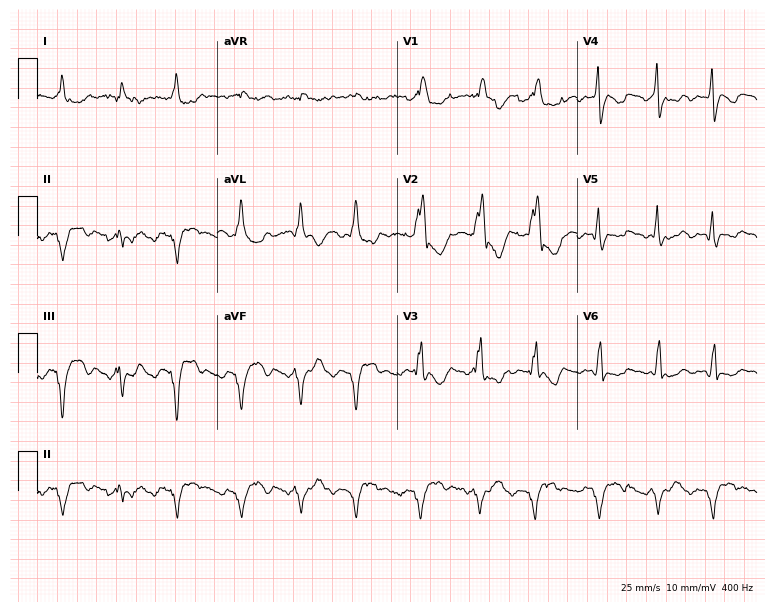
Electrocardiogram, a man, 29 years old. Of the six screened findings (first-degree AV block, right bundle branch block (RBBB), left bundle branch block (LBBB), sinus bradycardia, atrial fibrillation (AF), sinus tachycardia), none is recorded. Other findings, if any, are not listed.